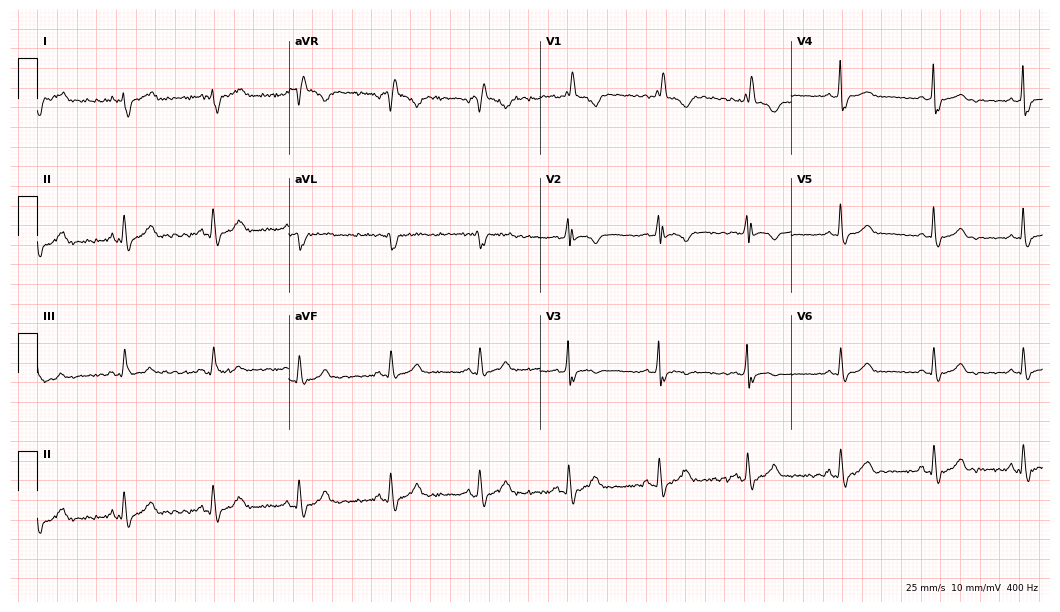
12-lead ECG from a female patient, 47 years old. Shows right bundle branch block (RBBB).